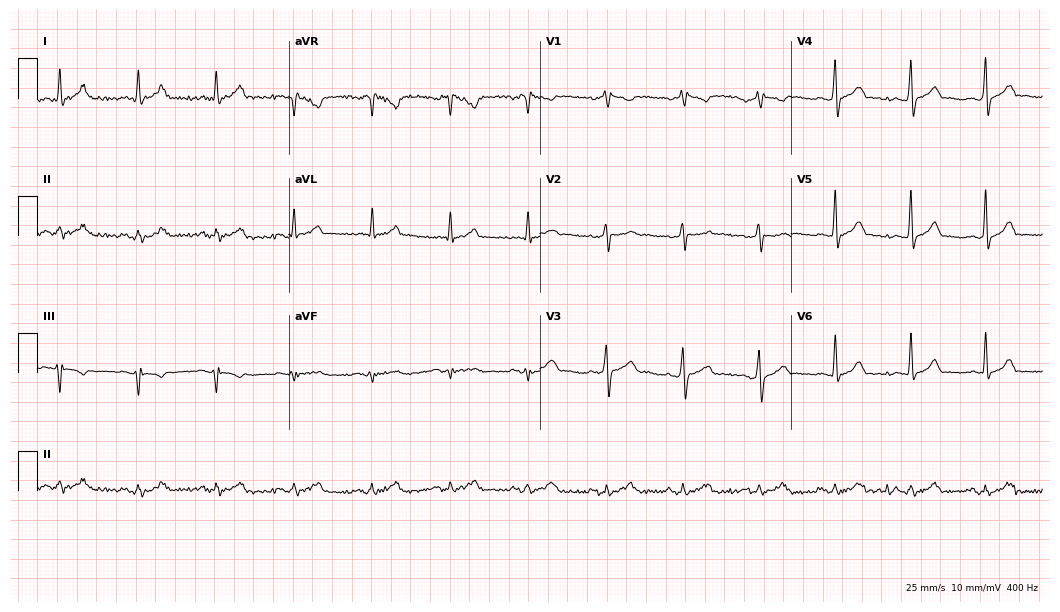
Electrocardiogram, a man, 41 years old. Of the six screened findings (first-degree AV block, right bundle branch block, left bundle branch block, sinus bradycardia, atrial fibrillation, sinus tachycardia), none is recorded.